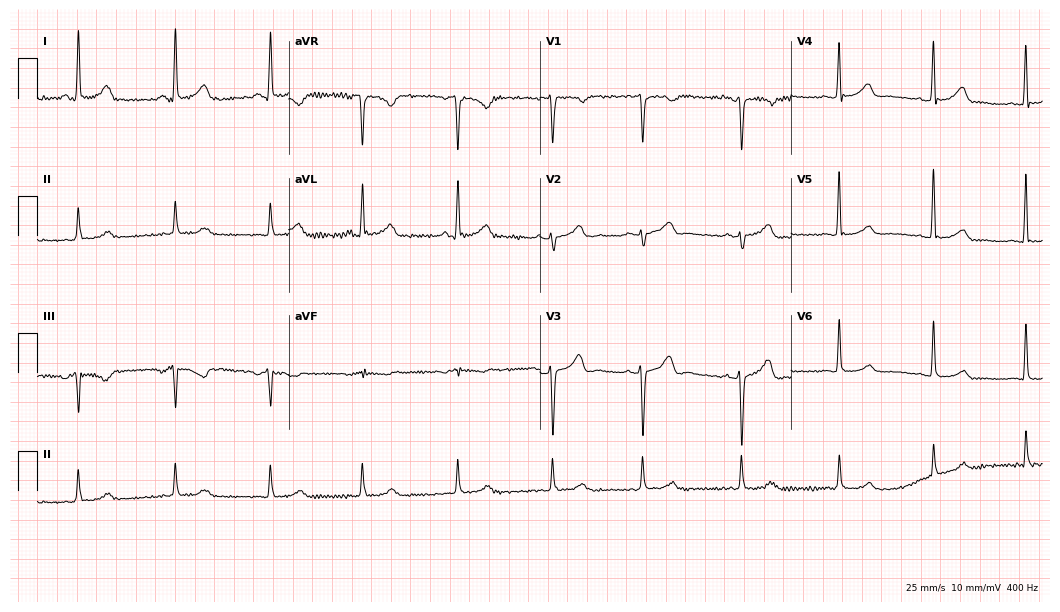
Standard 12-lead ECG recorded from a 43-year-old female patient (10.2-second recording at 400 Hz). Read as a normal ECG.